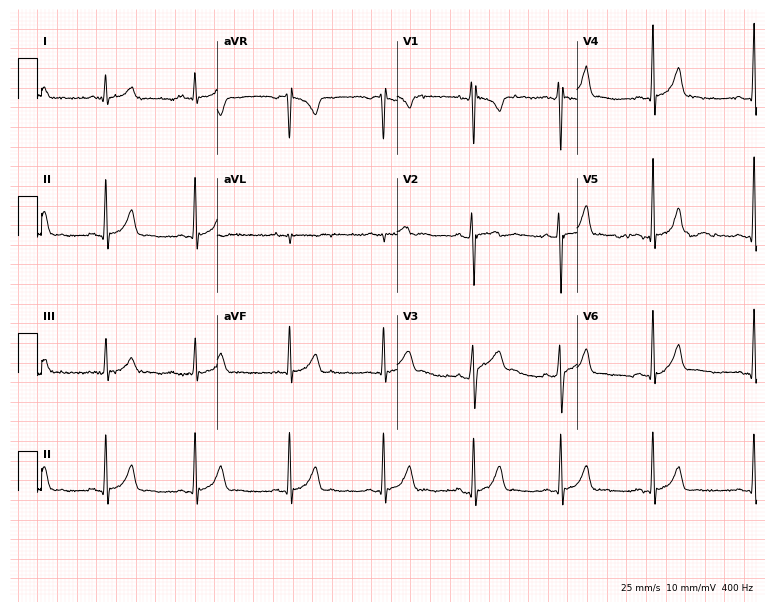
12-lead ECG from a male patient, 27 years old. Labelled as a normal ECG.